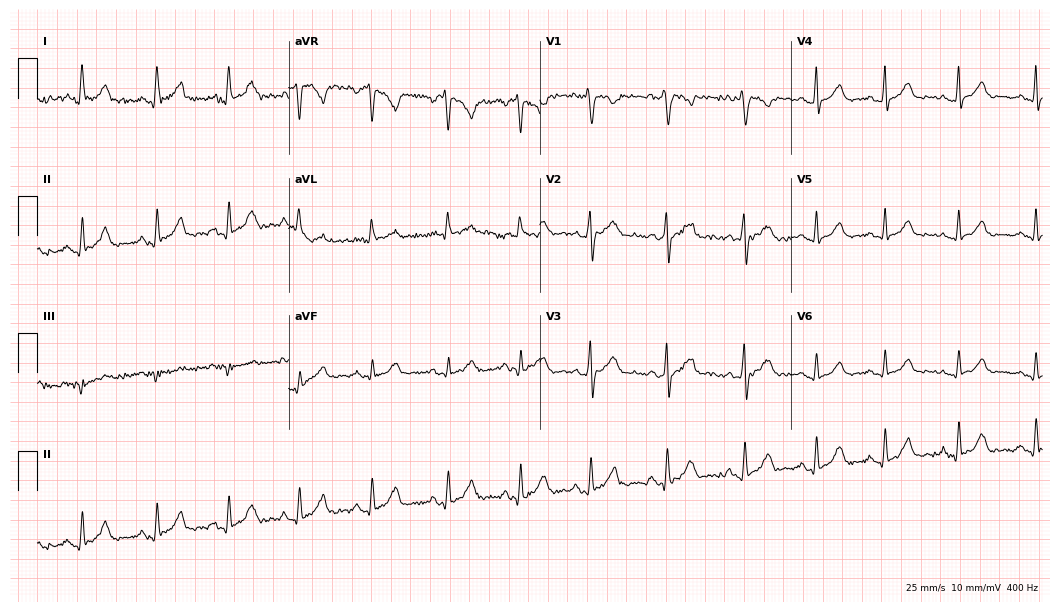
Resting 12-lead electrocardiogram (10.2-second recording at 400 Hz). Patient: a 34-year-old female. Read as a normal ECG.